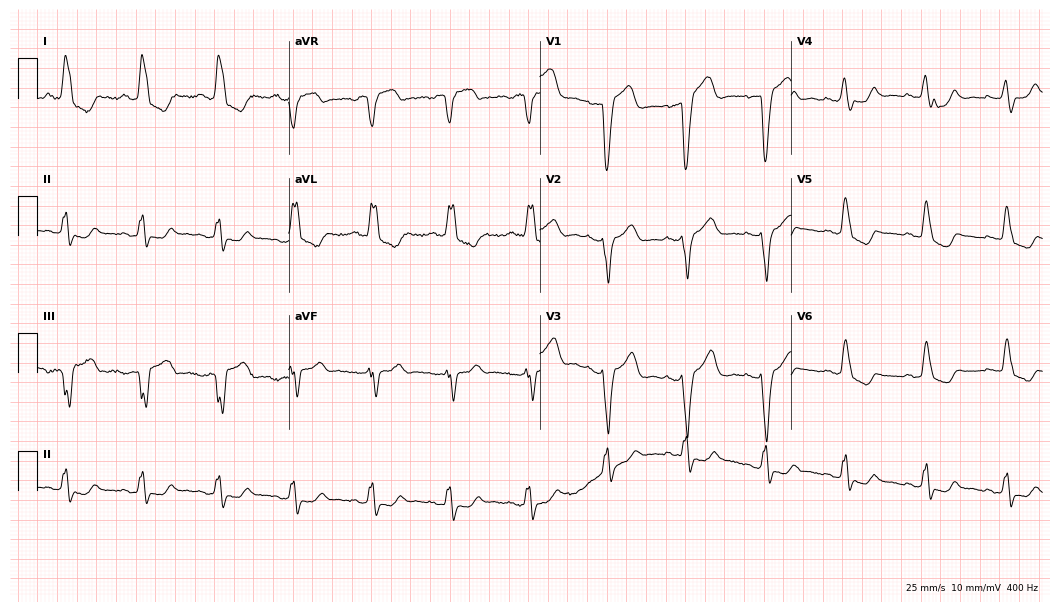
12-lead ECG (10.2-second recording at 400 Hz) from a female, 62 years old. Findings include left bundle branch block.